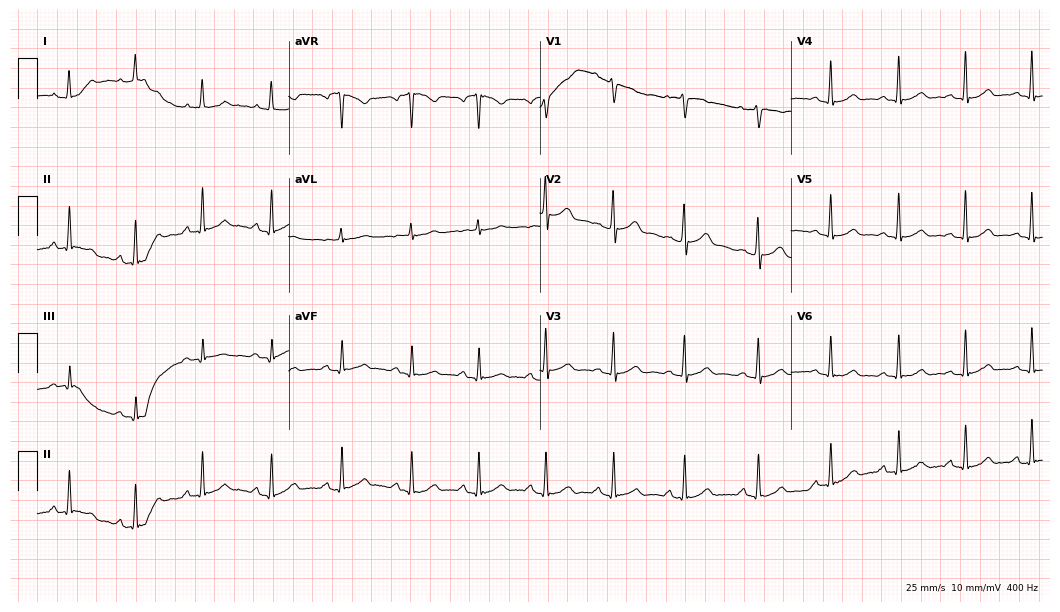
Electrocardiogram (10.2-second recording at 400 Hz), a 40-year-old woman. Of the six screened findings (first-degree AV block, right bundle branch block (RBBB), left bundle branch block (LBBB), sinus bradycardia, atrial fibrillation (AF), sinus tachycardia), none is recorded. Findings outside these six are not listed.